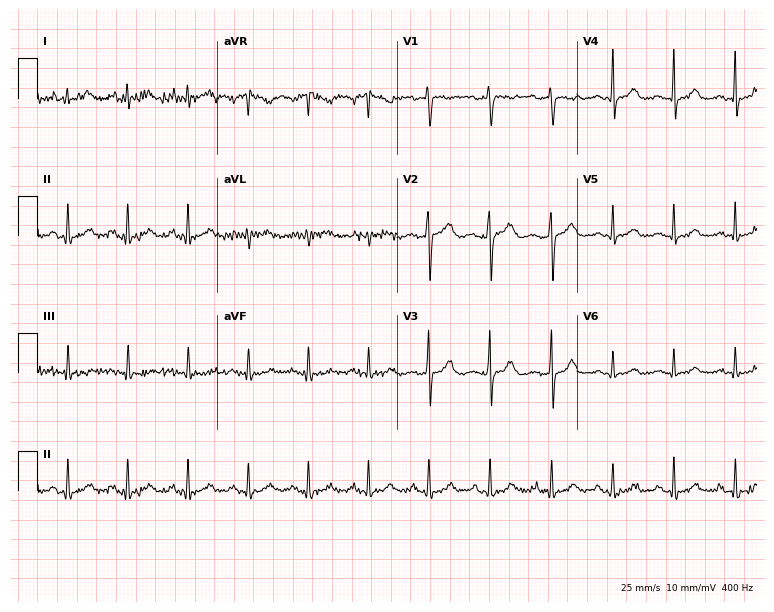
Resting 12-lead electrocardiogram (7.3-second recording at 400 Hz). Patient: a female, 42 years old. None of these six findings is recorded: first-degree AV block, right bundle branch block, left bundle branch block, sinus bradycardia, atrial fibrillation, sinus tachycardia.